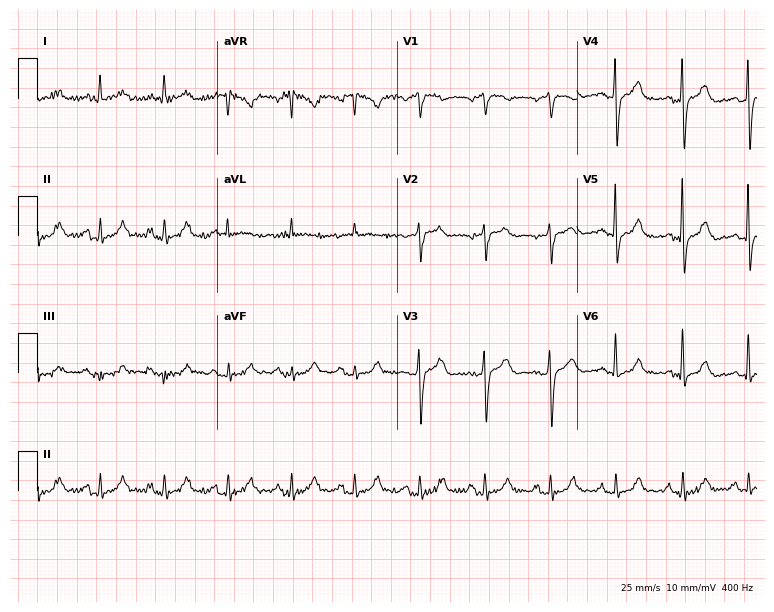
ECG — a woman, 74 years old. Labelled as a normal ECG.